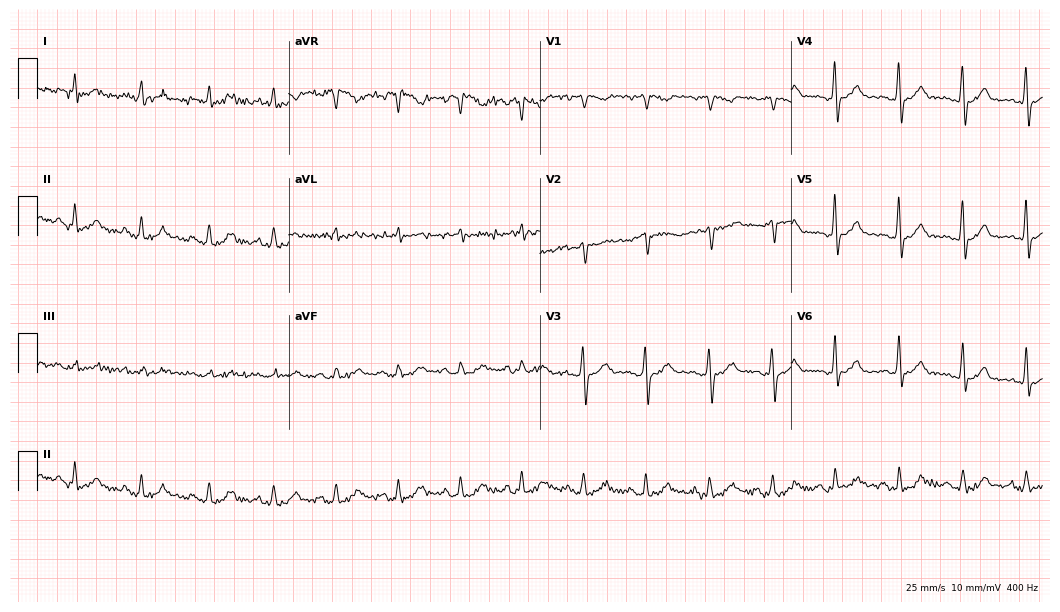
ECG (10.2-second recording at 400 Hz) — a male, 45 years old. Labelled as a normal ECG.